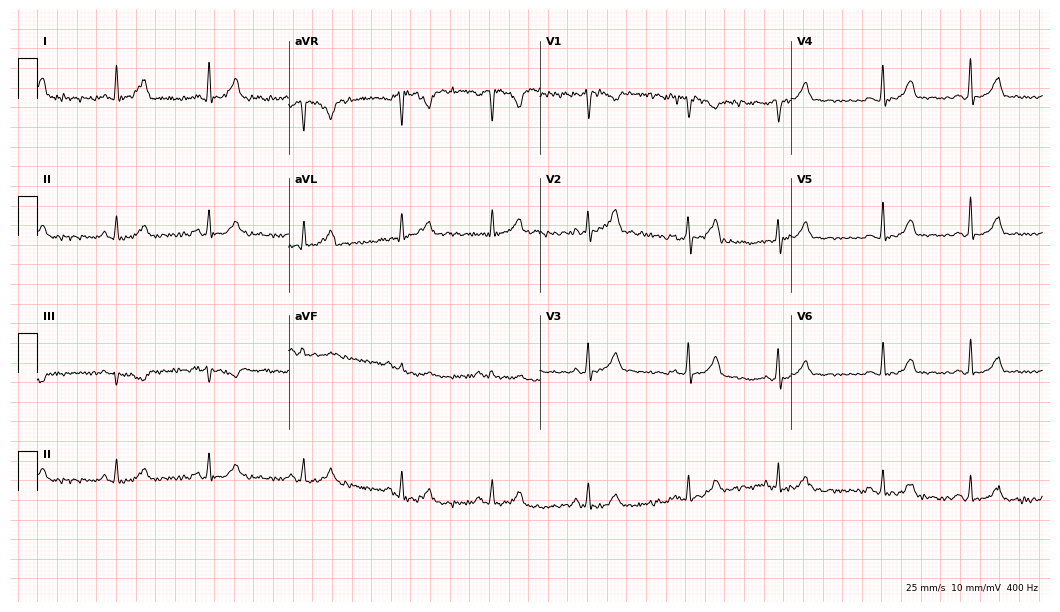
ECG — a 41-year-old woman. Labelled as a normal ECG.